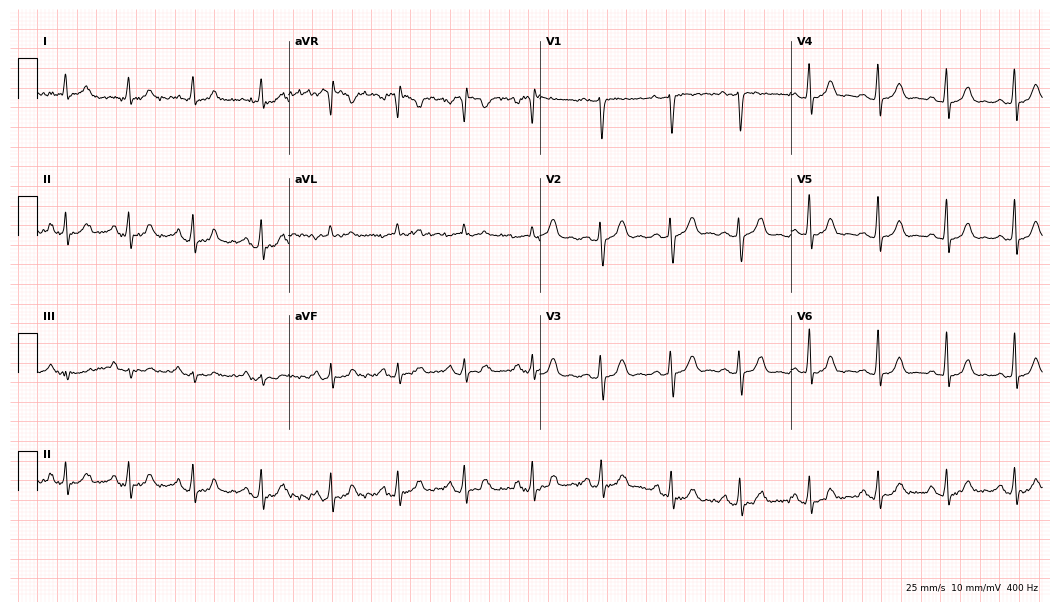
Standard 12-lead ECG recorded from a woman, 21 years old (10.2-second recording at 400 Hz). Read as a normal ECG.